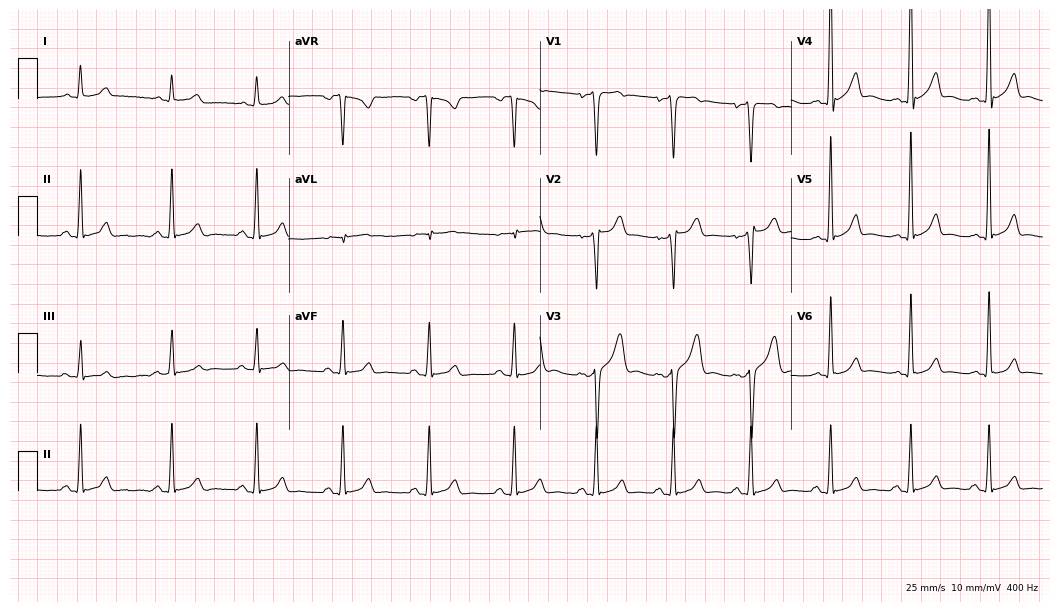
Standard 12-lead ECG recorded from a 32-year-old man. Read as a normal ECG.